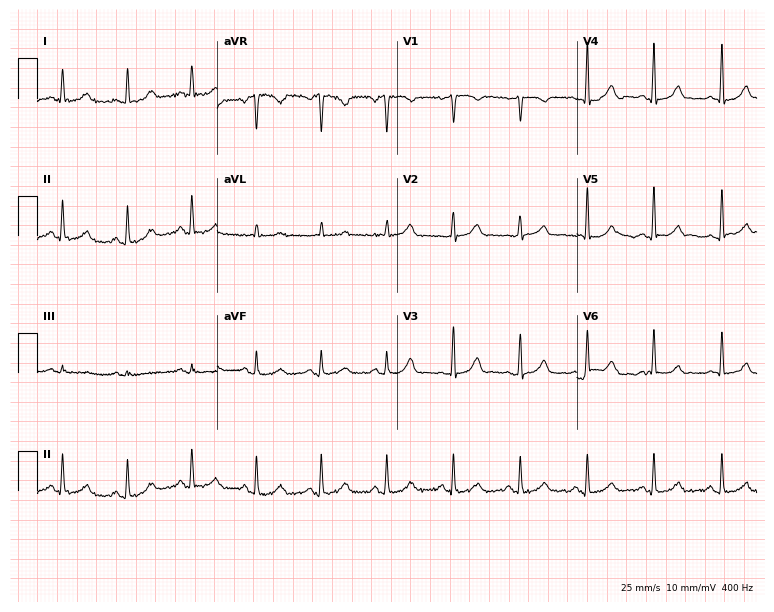
Electrocardiogram, a woman, 47 years old. Of the six screened findings (first-degree AV block, right bundle branch block (RBBB), left bundle branch block (LBBB), sinus bradycardia, atrial fibrillation (AF), sinus tachycardia), none is recorded. Only these six findings were labelled.